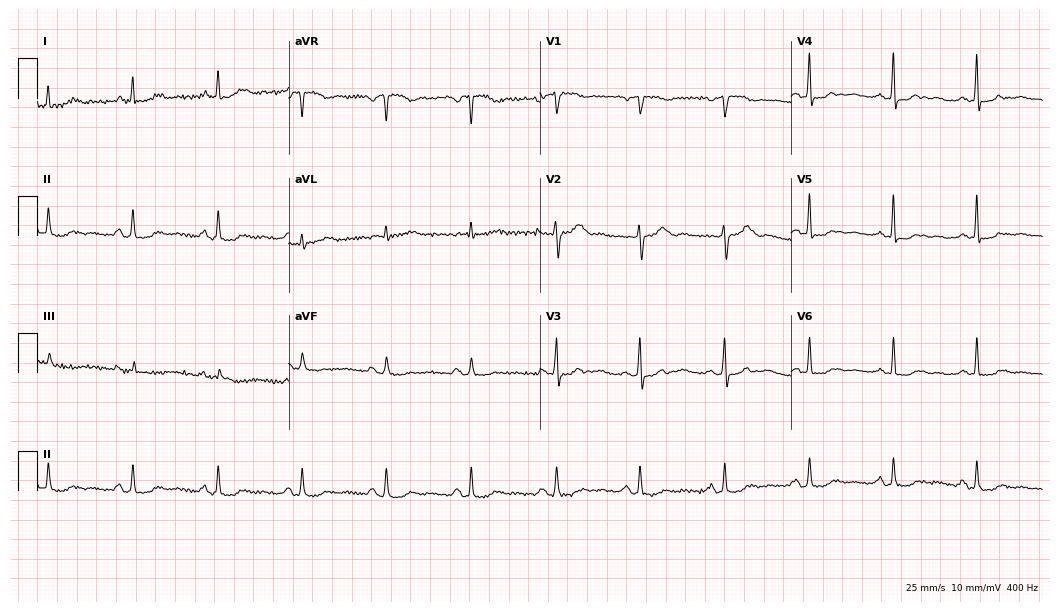
ECG — a female patient, 69 years old. Labelled as a normal ECG.